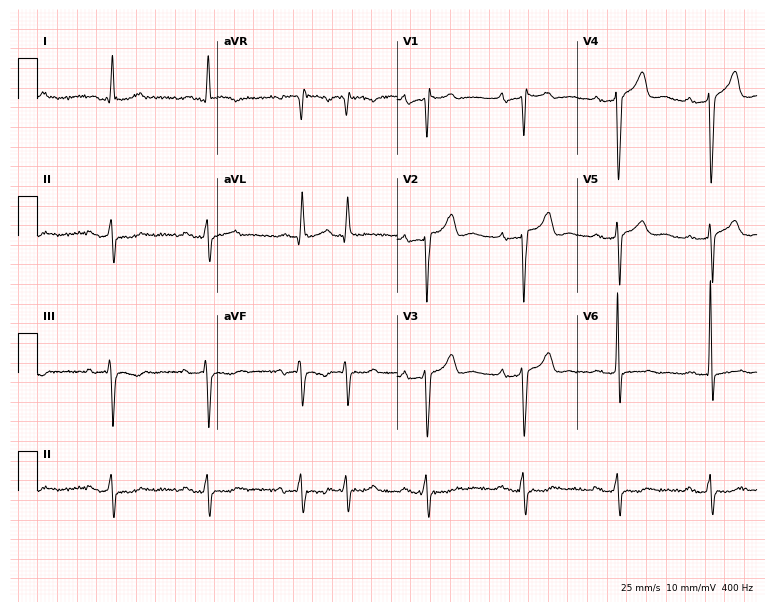
ECG (7.3-second recording at 400 Hz) — a 67-year-old male. Screened for six findings — first-degree AV block, right bundle branch block, left bundle branch block, sinus bradycardia, atrial fibrillation, sinus tachycardia — none is recorded. Other findings, if any, are not listed.